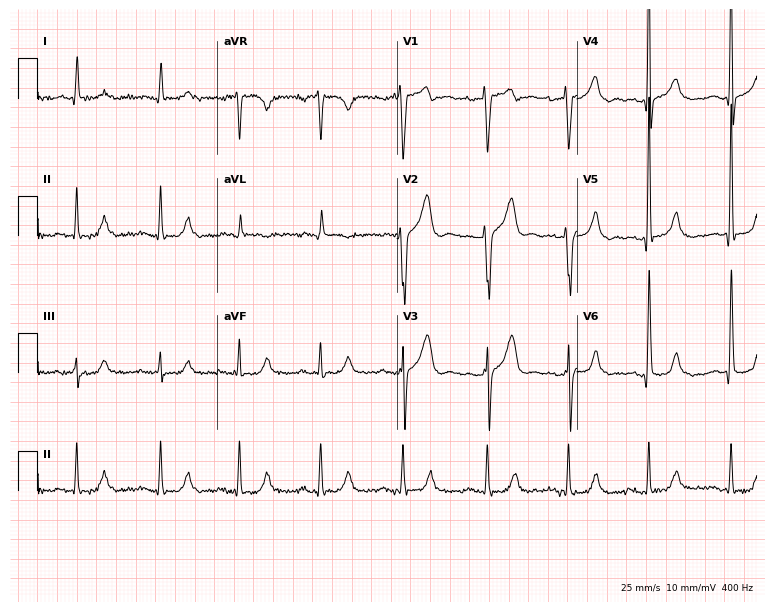
ECG (7.3-second recording at 400 Hz) — a 46-year-old man. Screened for six findings — first-degree AV block, right bundle branch block (RBBB), left bundle branch block (LBBB), sinus bradycardia, atrial fibrillation (AF), sinus tachycardia — none is recorded.